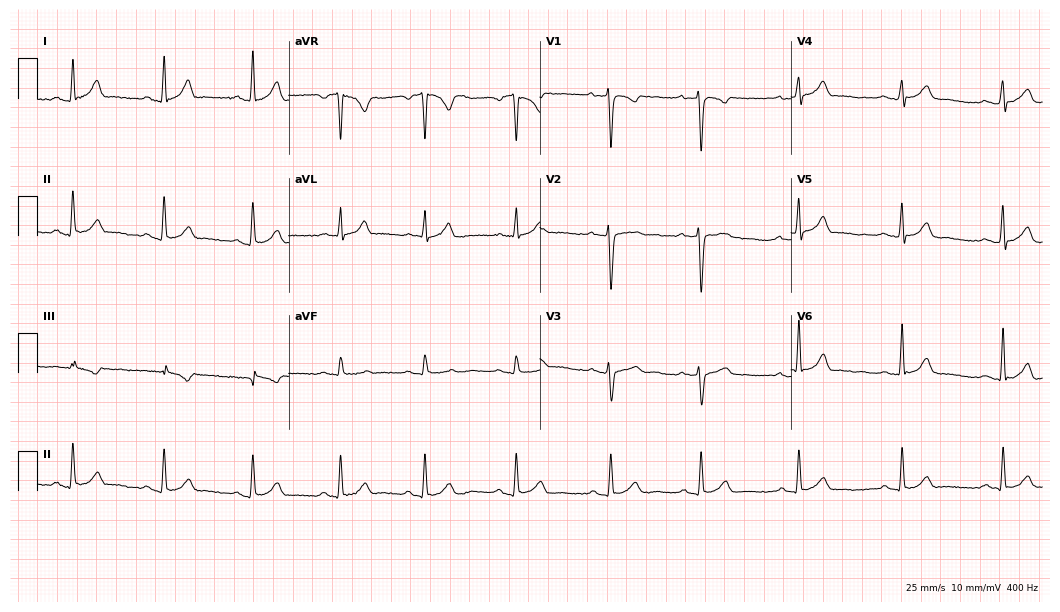
Resting 12-lead electrocardiogram. Patient: a 68-year-old female. None of these six findings is recorded: first-degree AV block, right bundle branch block, left bundle branch block, sinus bradycardia, atrial fibrillation, sinus tachycardia. Other findings, if any, are not listed.